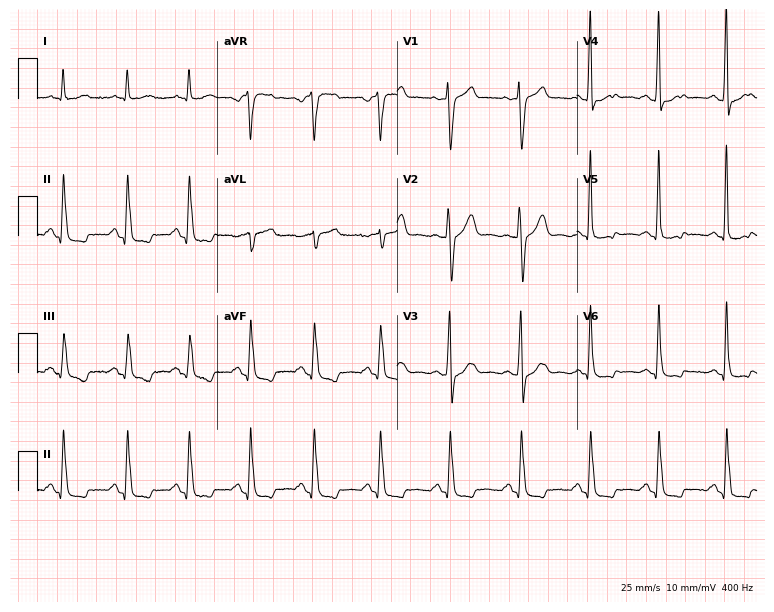
12-lead ECG (7.3-second recording at 400 Hz) from a man, 68 years old. Screened for six findings — first-degree AV block, right bundle branch block (RBBB), left bundle branch block (LBBB), sinus bradycardia, atrial fibrillation (AF), sinus tachycardia — none is recorded.